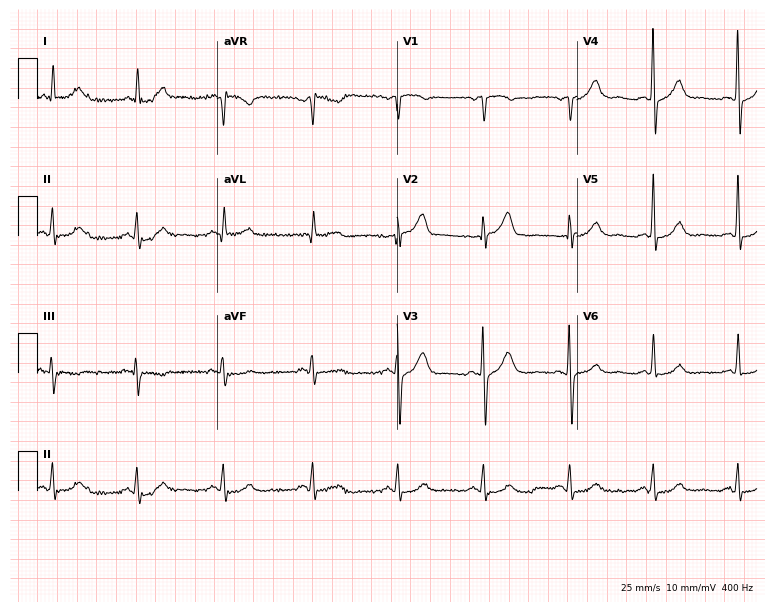
Resting 12-lead electrocardiogram (7.3-second recording at 400 Hz). Patient: a 70-year-old man. None of these six findings is recorded: first-degree AV block, right bundle branch block (RBBB), left bundle branch block (LBBB), sinus bradycardia, atrial fibrillation (AF), sinus tachycardia.